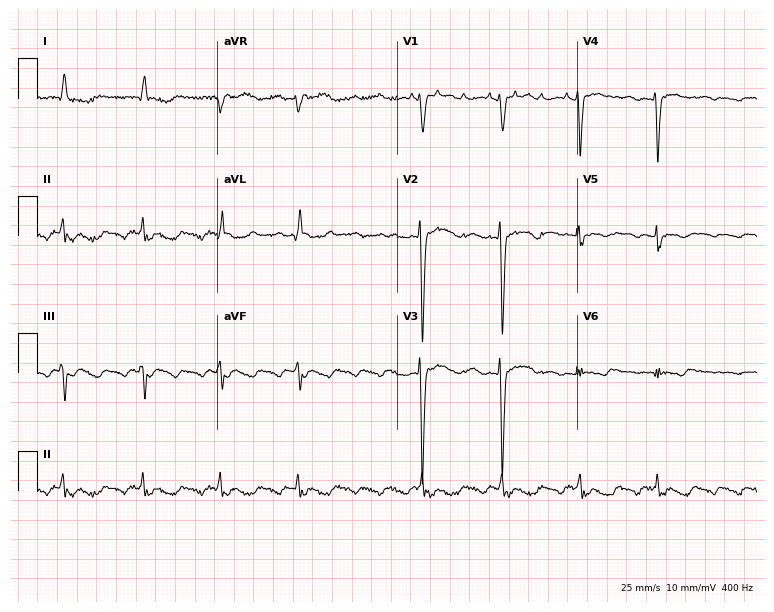
ECG (7.3-second recording at 400 Hz) — a 55-year-old male patient. Screened for six findings — first-degree AV block, right bundle branch block, left bundle branch block, sinus bradycardia, atrial fibrillation, sinus tachycardia — none is recorded. Findings outside these six are not listed.